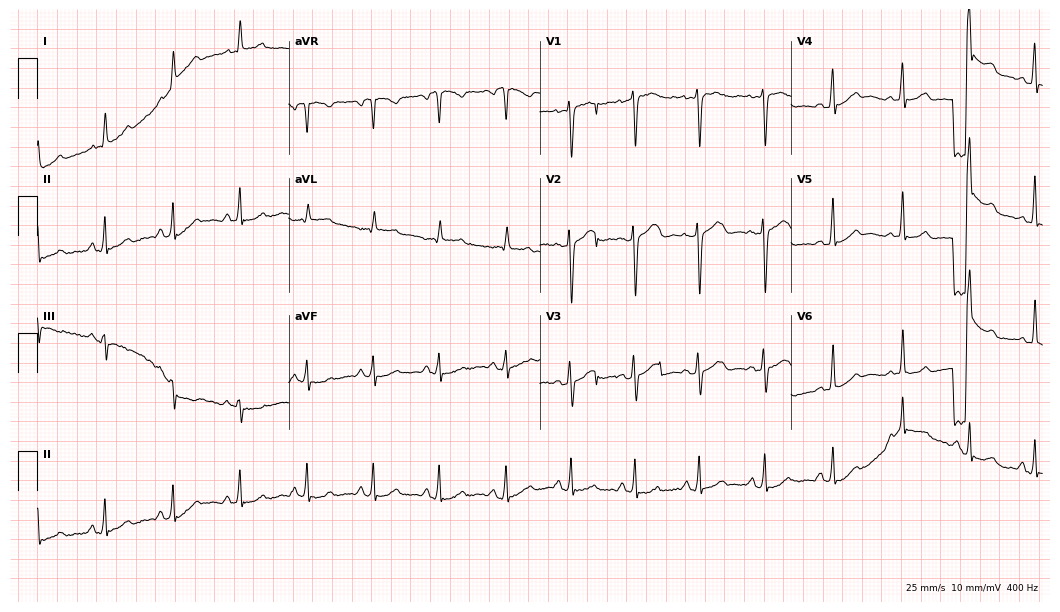
Resting 12-lead electrocardiogram (10.2-second recording at 400 Hz). Patient: a woman, 35 years old. The tracing shows sinus tachycardia (a sinus rate of 100 beats per minute or more).